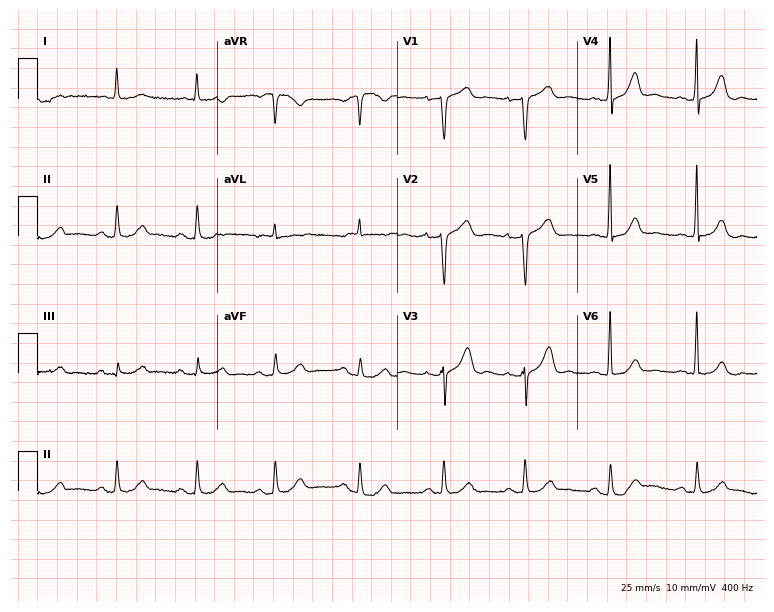
12-lead ECG from a female, 79 years old (7.3-second recording at 400 Hz). Recorded interpretation: within normal limits.